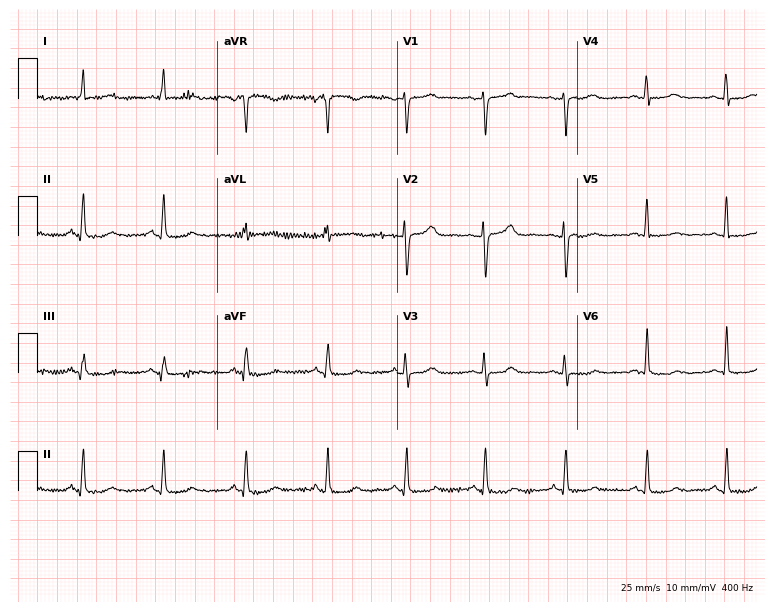
12-lead ECG from a 44-year-old female patient. No first-degree AV block, right bundle branch block, left bundle branch block, sinus bradycardia, atrial fibrillation or sinus tachycardia recorded for this tracing.